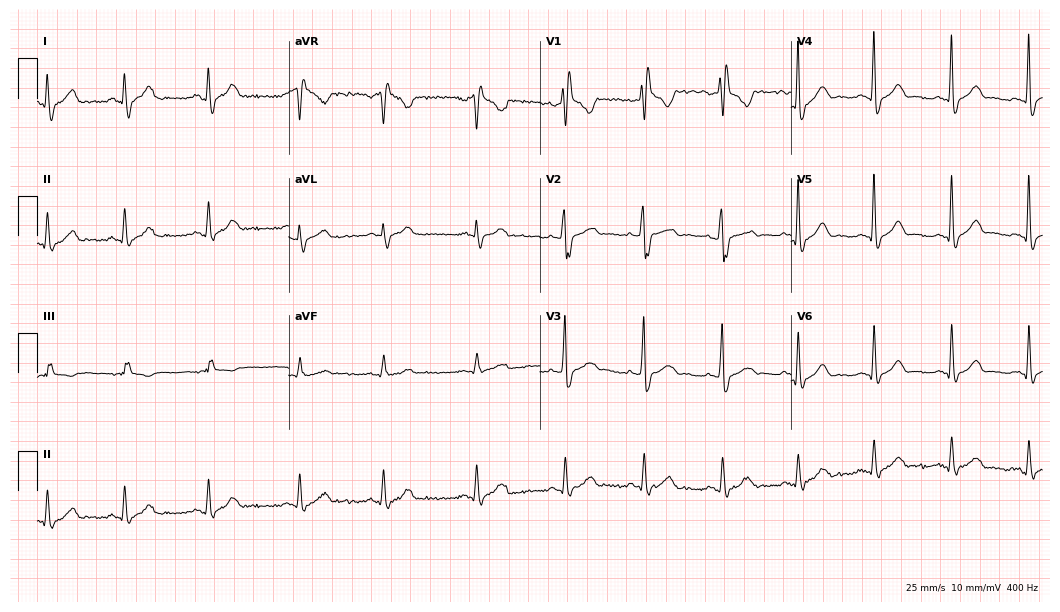
ECG — a male patient, 37 years old. Findings include right bundle branch block (RBBB).